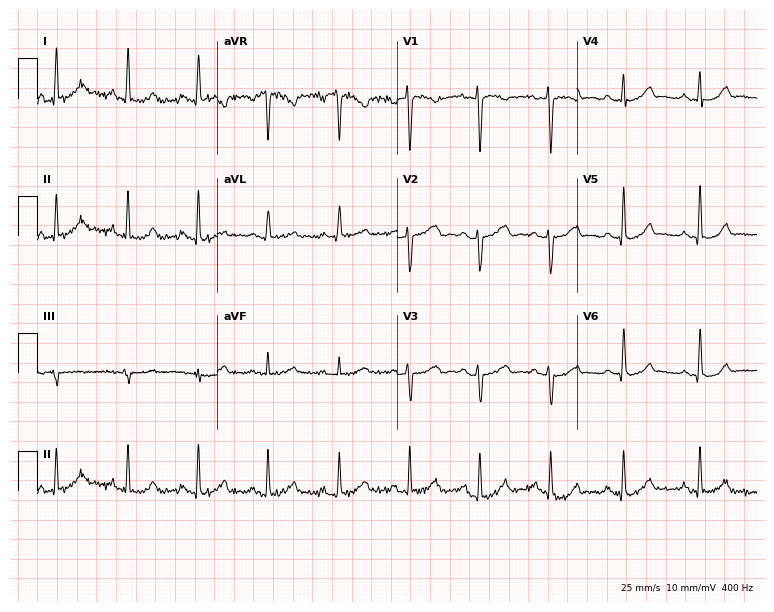
ECG (7.3-second recording at 400 Hz) — a 24-year-old female patient. Screened for six findings — first-degree AV block, right bundle branch block, left bundle branch block, sinus bradycardia, atrial fibrillation, sinus tachycardia — none is recorded.